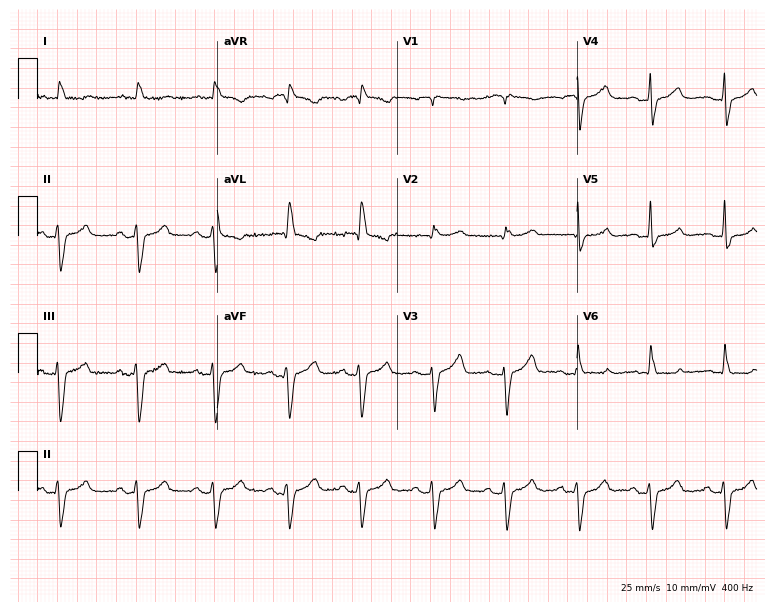
Resting 12-lead electrocardiogram (7.3-second recording at 400 Hz). Patient: a male, 39 years old. None of these six findings is recorded: first-degree AV block, right bundle branch block (RBBB), left bundle branch block (LBBB), sinus bradycardia, atrial fibrillation (AF), sinus tachycardia. Other findings, if any, are not listed.